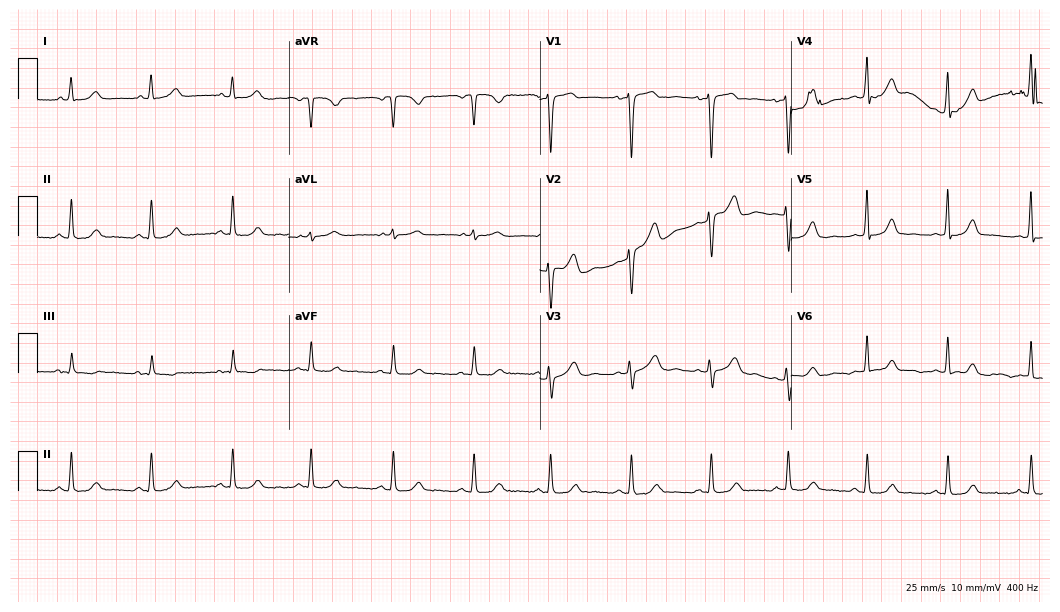
12-lead ECG from a female, 41 years old (10.2-second recording at 400 Hz). Recorded interpretation: within normal limits.